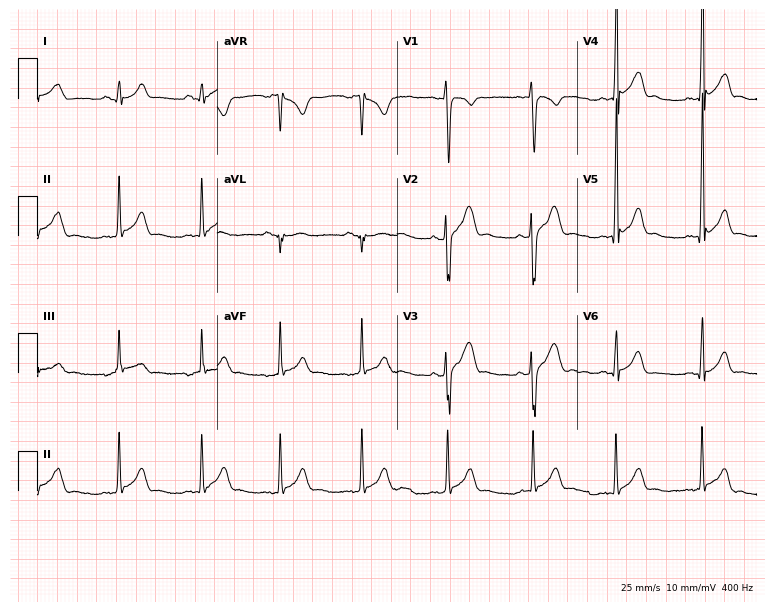
12-lead ECG (7.3-second recording at 400 Hz) from a 19-year-old male. Labelled as a normal ECG.